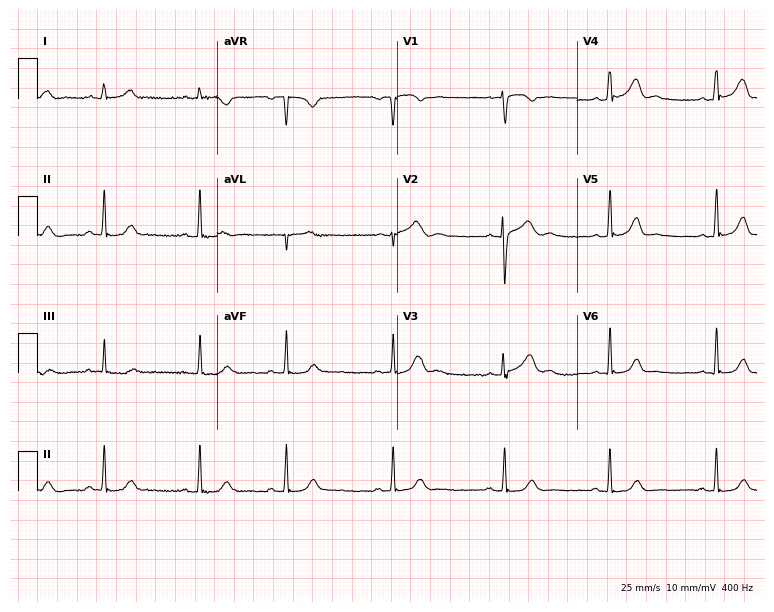
12-lead ECG (7.3-second recording at 400 Hz) from a female patient, 20 years old. Labelled as a normal ECG.